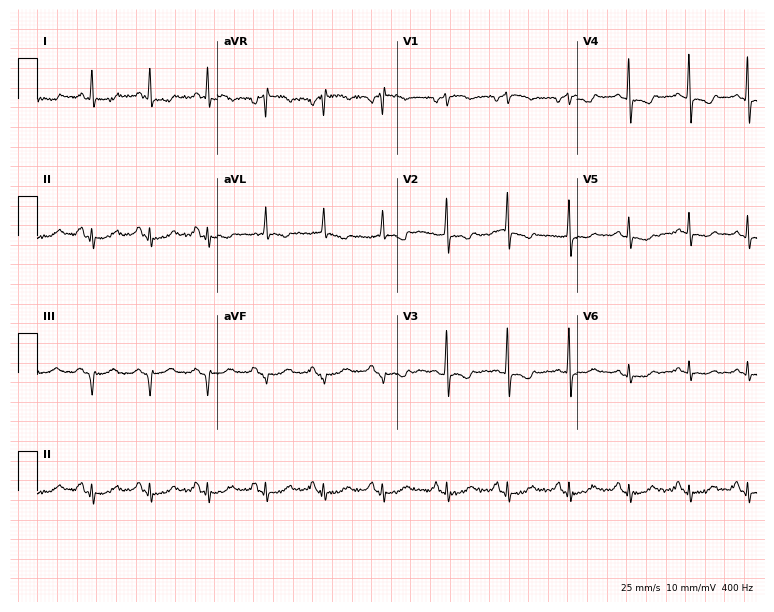
ECG — a 69-year-old female. Labelled as a normal ECG.